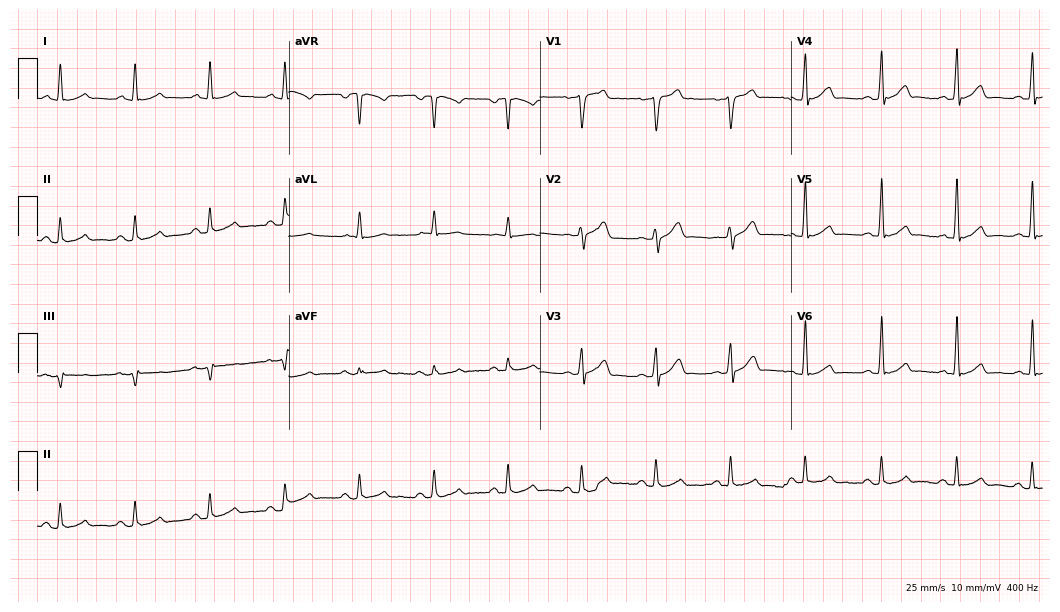
12-lead ECG from a man, 74 years old (10.2-second recording at 400 Hz). Recorded interpretation: within normal limits.